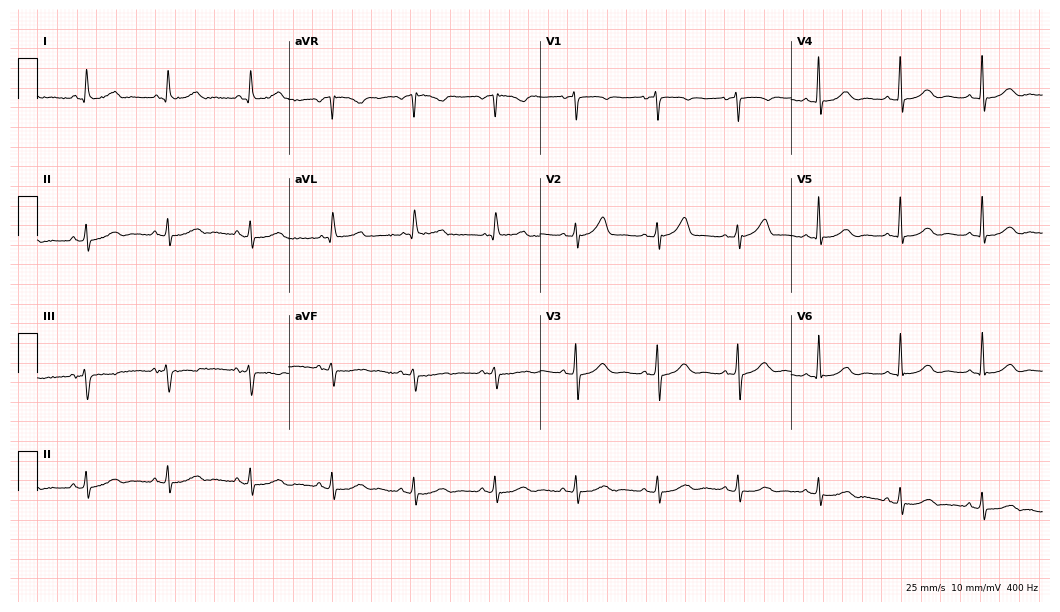
Standard 12-lead ECG recorded from a 70-year-old female. Read as a normal ECG.